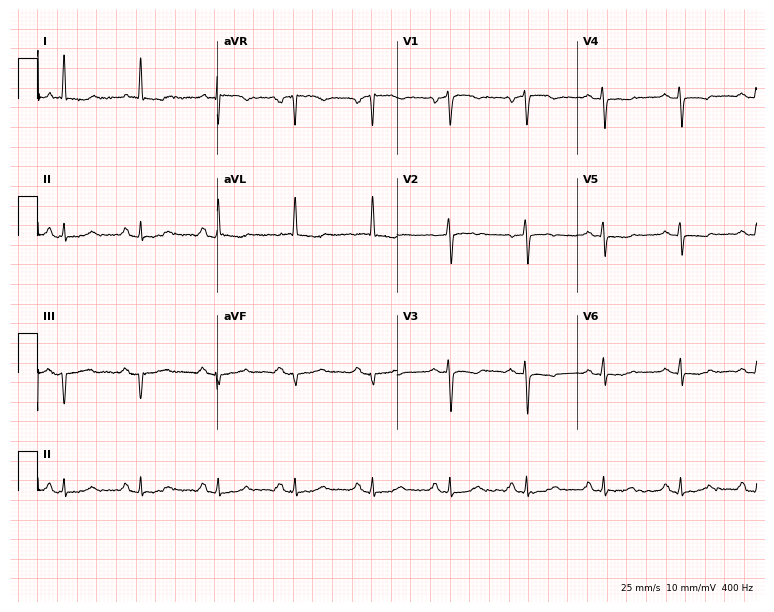
12-lead ECG from a 72-year-old woman (7.3-second recording at 400 Hz). No first-degree AV block, right bundle branch block, left bundle branch block, sinus bradycardia, atrial fibrillation or sinus tachycardia recorded for this tracing.